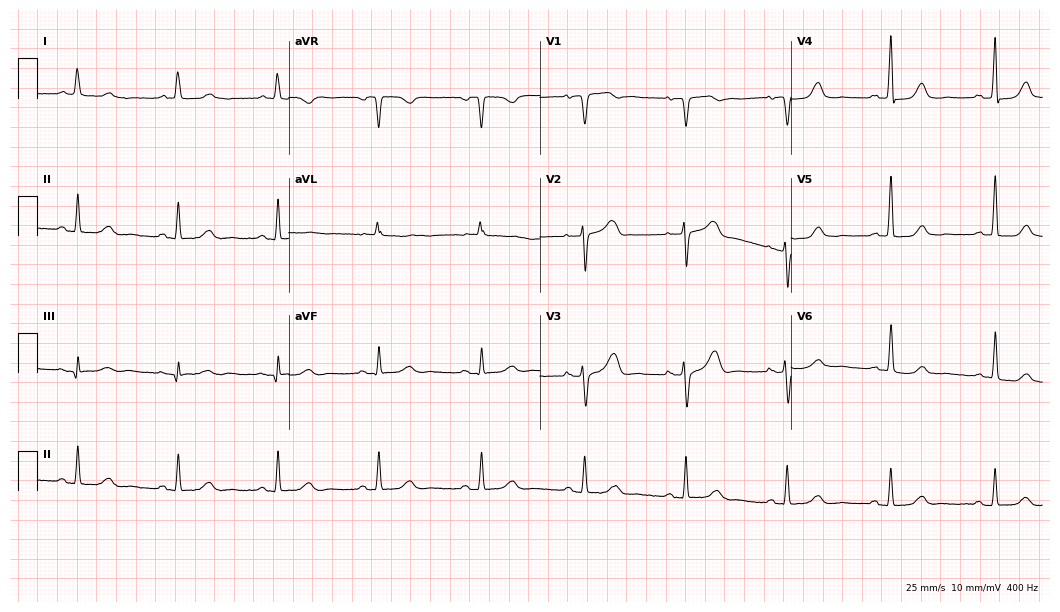
Standard 12-lead ECG recorded from a woman, 73 years old (10.2-second recording at 400 Hz). None of these six findings is recorded: first-degree AV block, right bundle branch block (RBBB), left bundle branch block (LBBB), sinus bradycardia, atrial fibrillation (AF), sinus tachycardia.